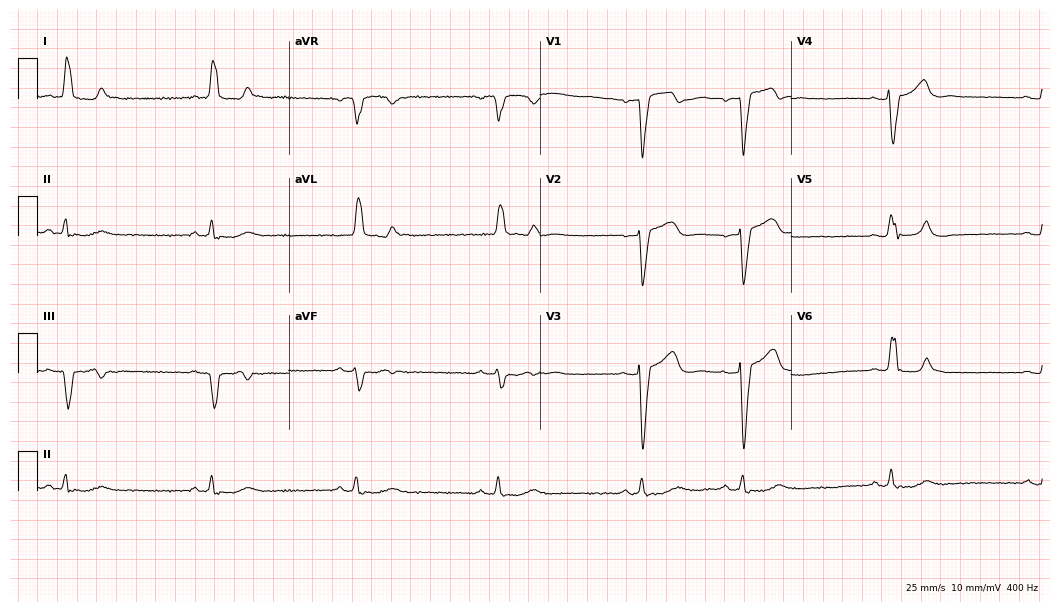
Electrocardiogram, a 63-year-old female. Interpretation includes left bundle branch block, sinus bradycardia (a sinus rate of 50 beats per minute or less).